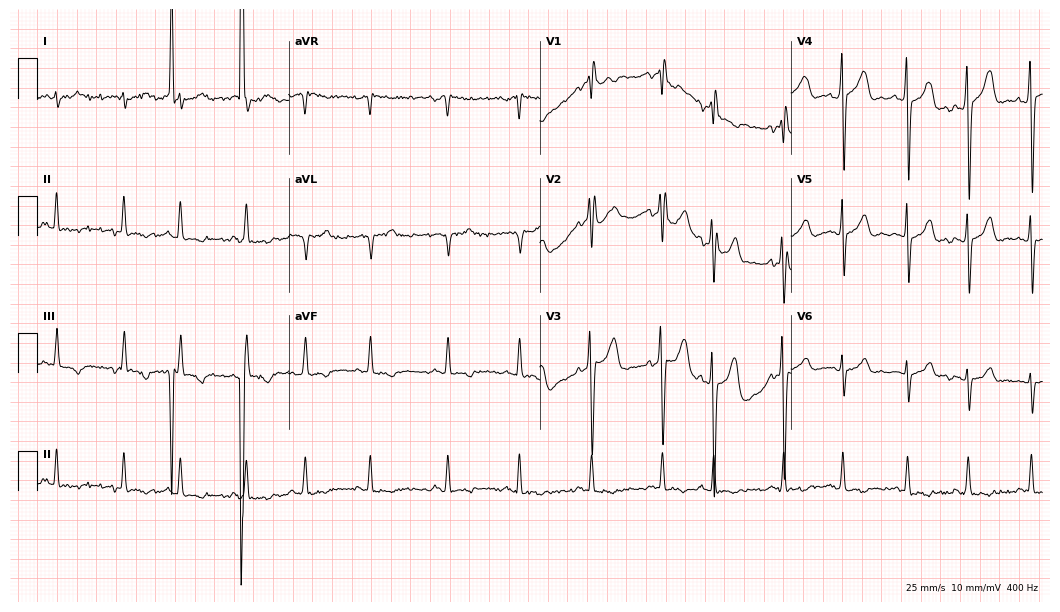
Resting 12-lead electrocardiogram (10.2-second recording at 400 Hz). Patient: a man, 79 years old. None of these six findings is recorded: first-degree AV block, right bundle branch block, left bundle branch block, sinus bradycardia, atrial fibrillation, sinus tachycardia. Other findings, if any, are not listed.